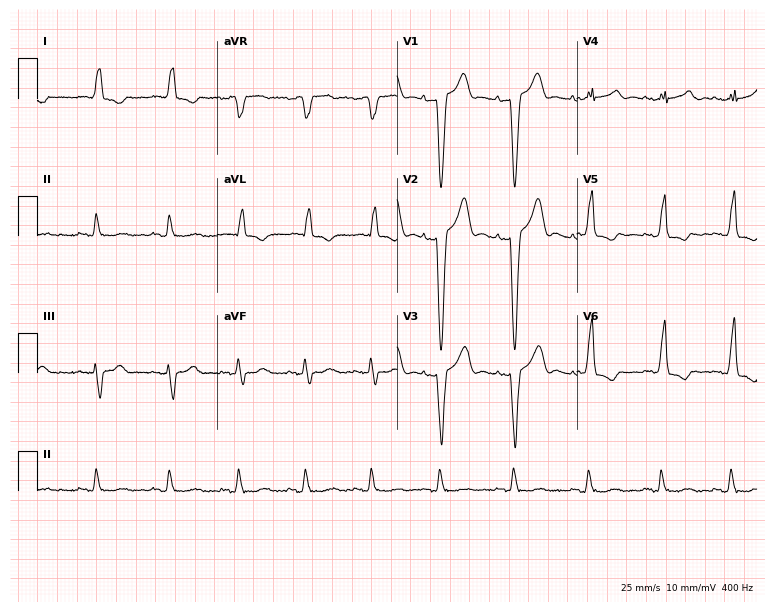
12-lead ECG from a woman, 81 years old. Findings include left bundle branch block.